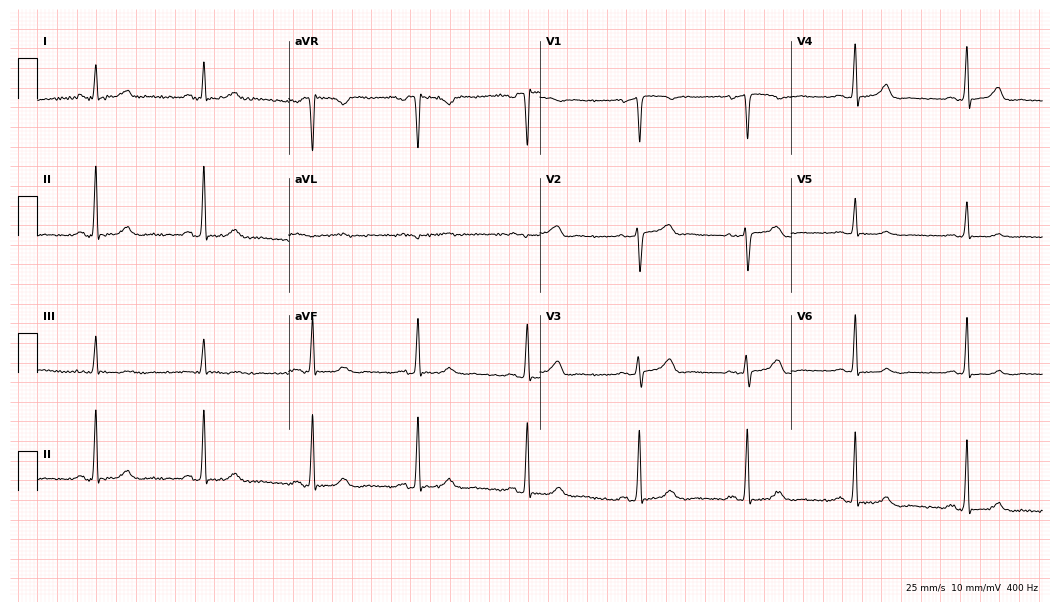
Standard 12-lead ECG recorded from a 69-year-old female patient (10.2-second recording at 400 Hz). Read as a normal ECG.